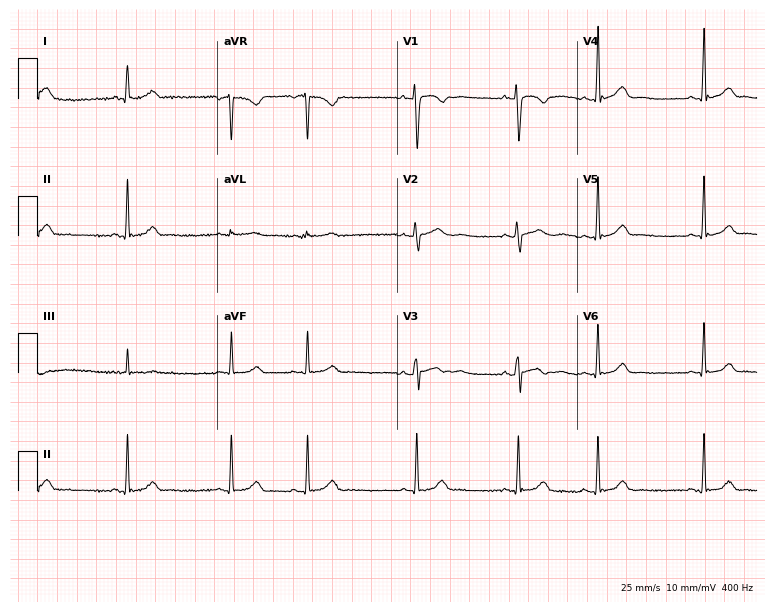
ECG — a 19-year-old female. Labelled as a normal ECG.